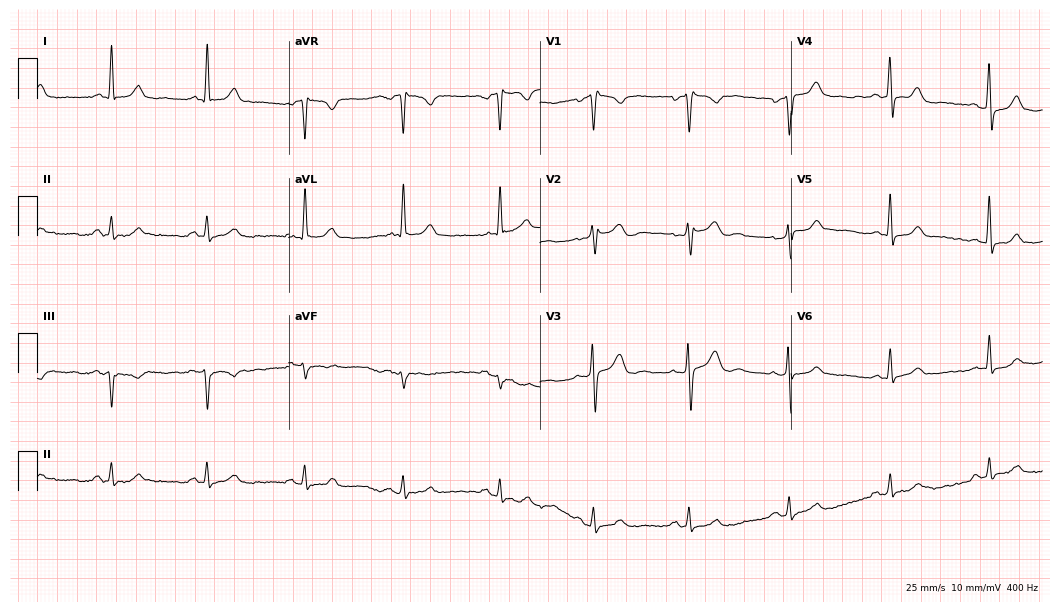
Standard 12-lead ECG recorded from a 71-year-old man. None of these six findings is recorded: first-degree AV block, right bundle branch block, left bundle branch block, sinus bradycardia, atrial fibrillation, sinus tachycardia. Other findings, if any, are not listed.